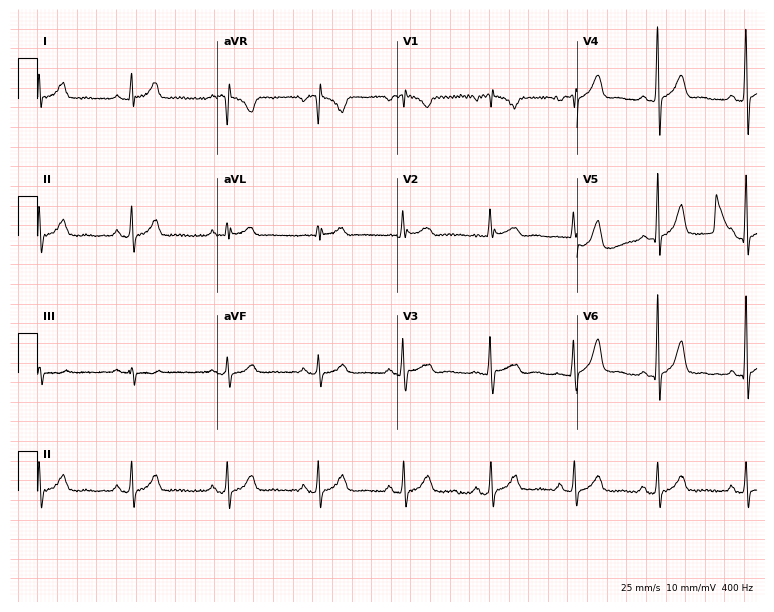
12-lead ECG from a female, 26 years old. Screened for six findings — first-degree AV block, right bundle branch block, left bundle branch block, sinus bradycardia, atrial fibrillation, sinus tachycardia — none is recorded.